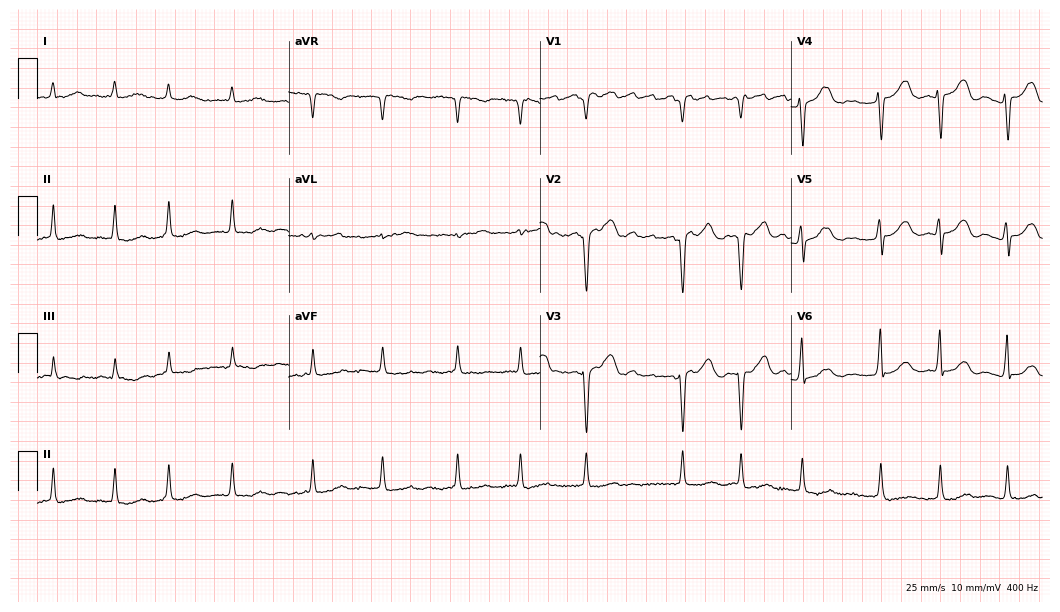
Standard 12-lead ECG recorded from a 72-year-old female. The tracing shows atrial fibrillation.